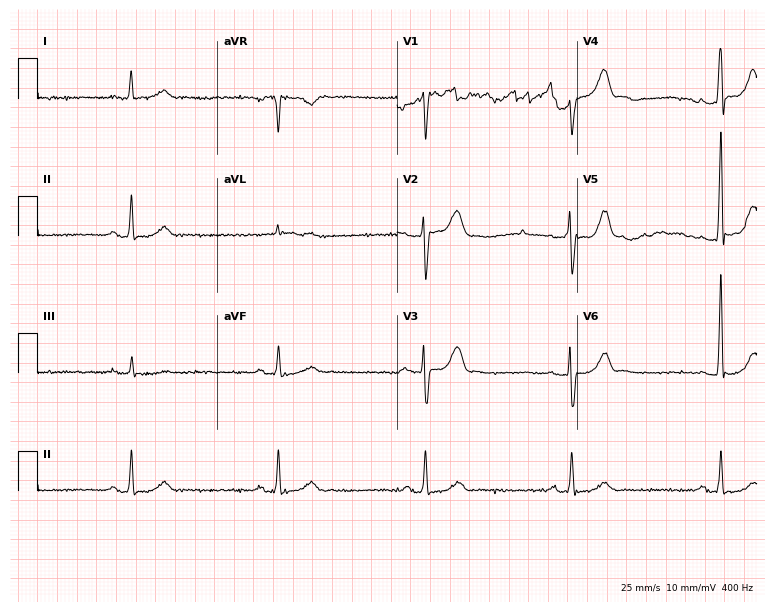
Electrocardiogram (7.3-second recording at 400 Hz), a 72-year-old man. Of the six screened findings (first-degree AV block, right bundle branch block, left bundle branch block, sinus bradycardia, atrial fibrillation, sinus tachycardia), none is recorded. Only these six findings were labelled.